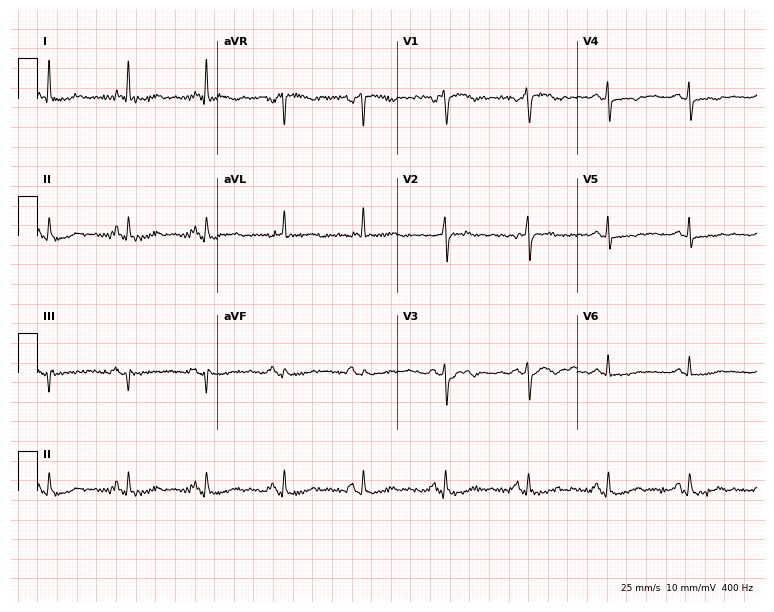
Electrocardiogram (7.3-second recording at 400 Hz), a 74-year-old female patient. Of the six screened findings (first-degree AV block, right bundle branch block, left bundle branch block, sinus bradycardia, atrial fibrillation, sinus tachycardia), none is recorded. Findings outside these six are not listed.